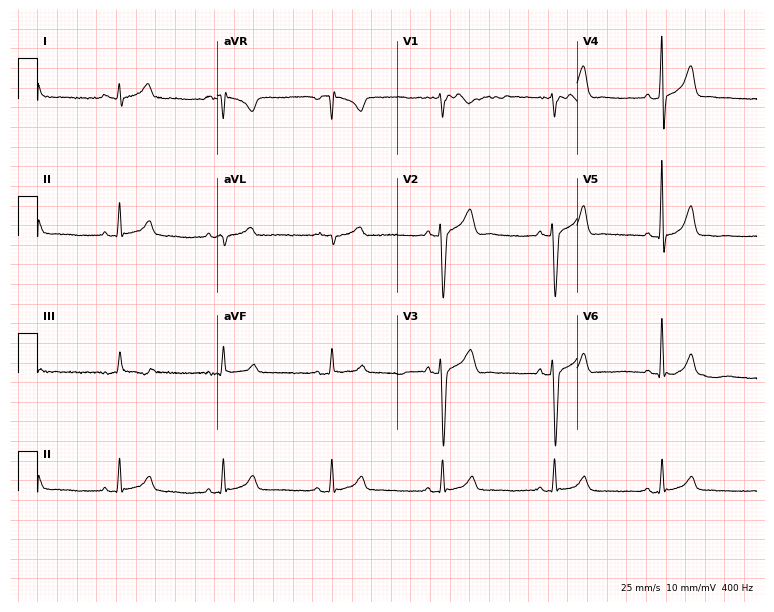
Standard 12-lead ECG recorded from a 35-year-old man (7.3-second recording at 400 Hz). Read as a normal ECG.